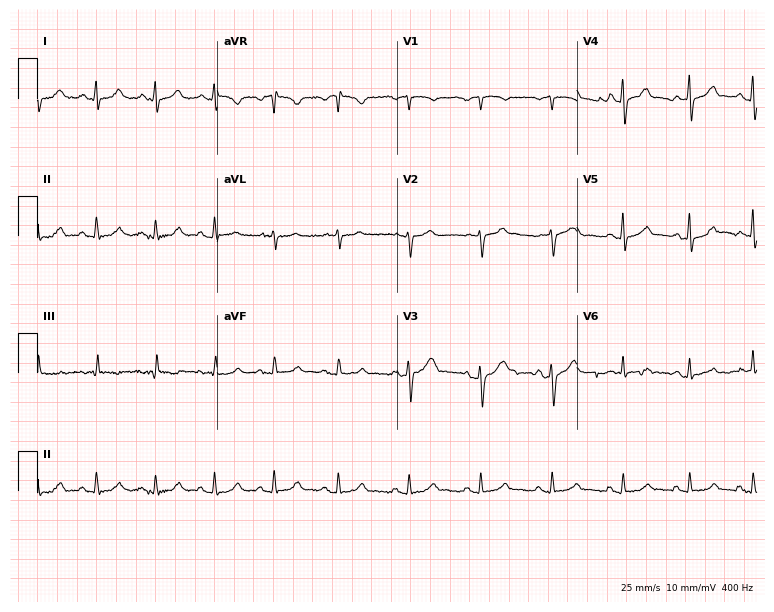
Resting 12-lead electrocardiogram. Patient: a 50-year-old male. Read as a normal ECG.